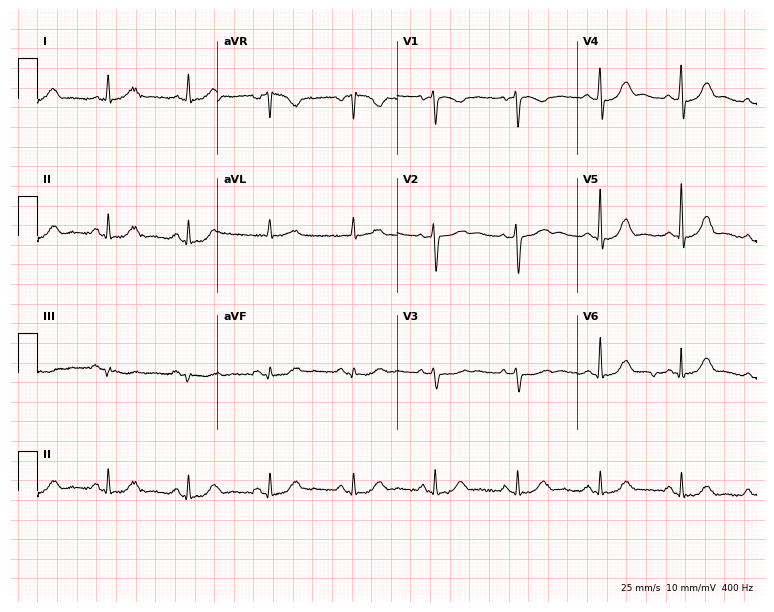
Electrocardiogram, a 50-year-old female patient. Of the six screened findings (first-degree AV block, right bundle branch block, left bundle branch block, sinus bradycardia, atrial fibrillation, sinus tachycardia), none is recorded.